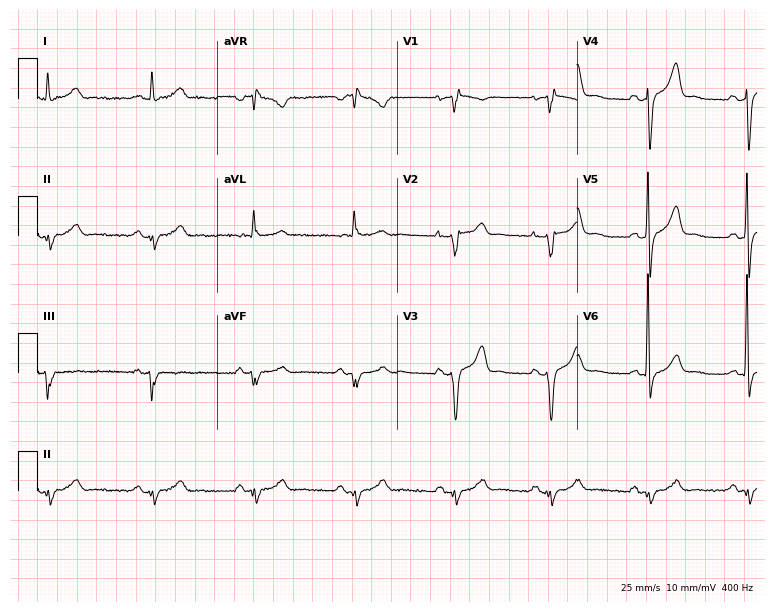
12-lead ECG from a 60-year-old male. No first-degree AV block, right bundle branch block (RBBB), left bundle branch block (LBBB), sinus bradycardia, atrial fibrillation (AF) or sinus tachycardia recorded for this tracing.